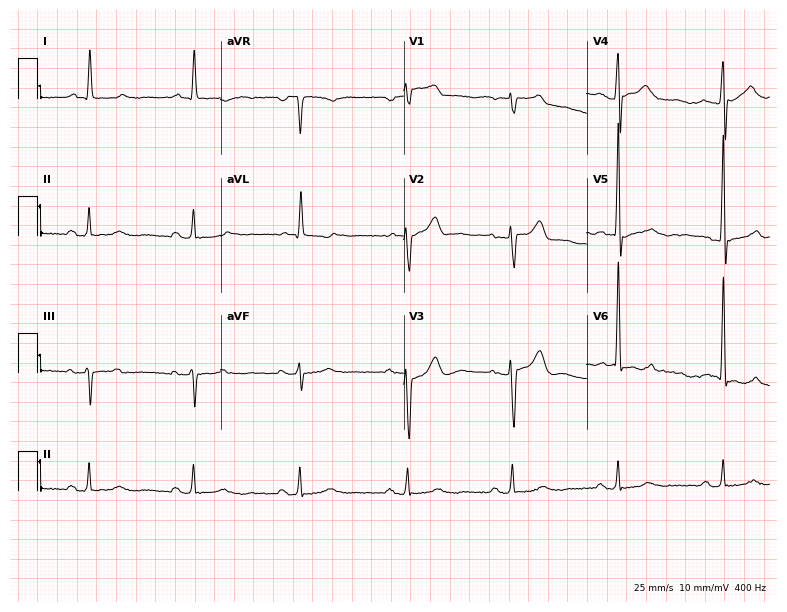
12-lead ECG from a male patient, 84 years old. Labelled as a normal ECG.